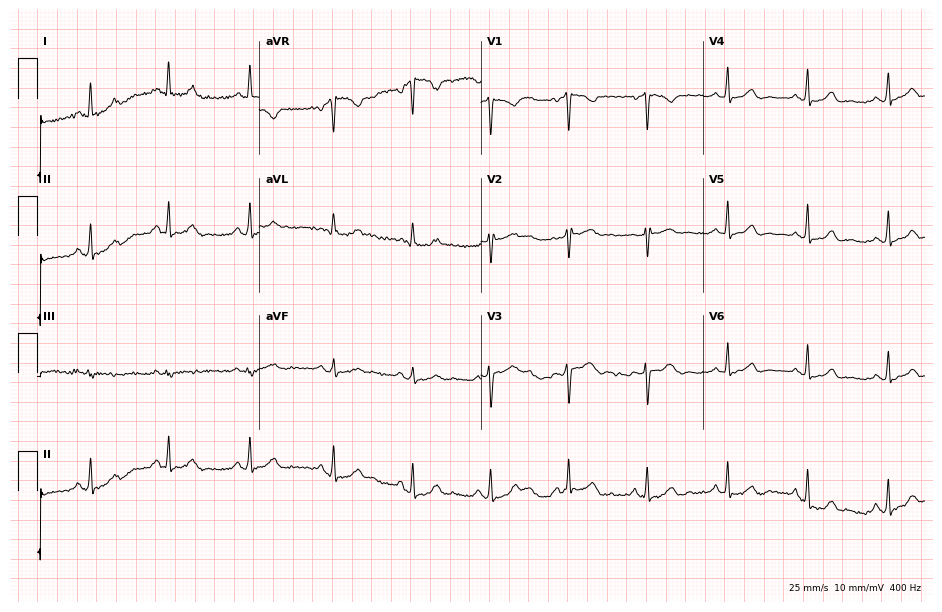
12-lead ECG (9-second recording at 400 Hz) from a 37-year-old female. Labelled as a normal ECG.